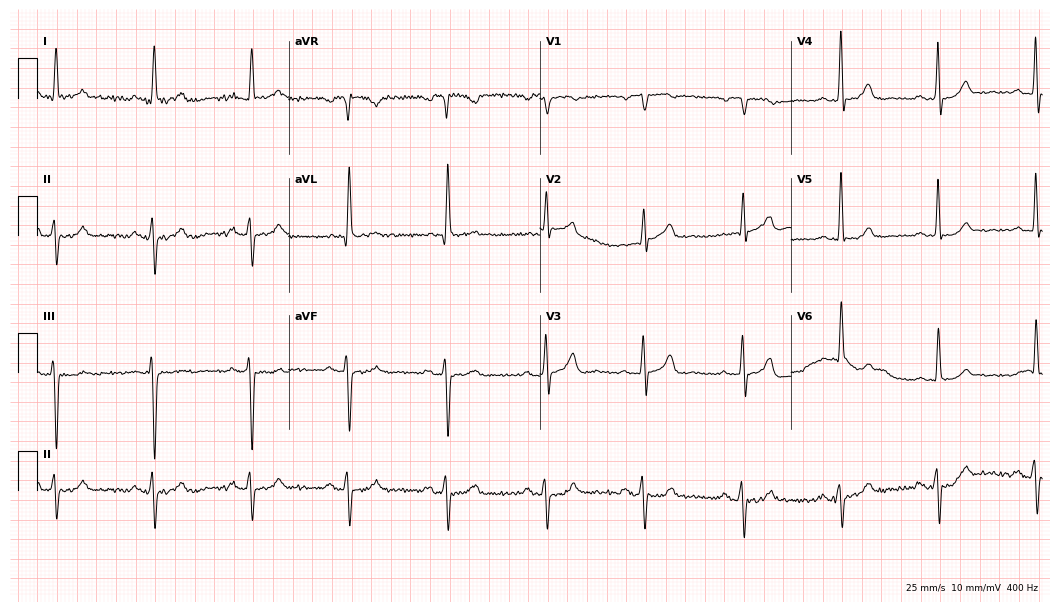
Electrocardiogram (10.2-second recording at 400 Hz), an 82-year-old female patient. Overall reading on record: normal ECG.